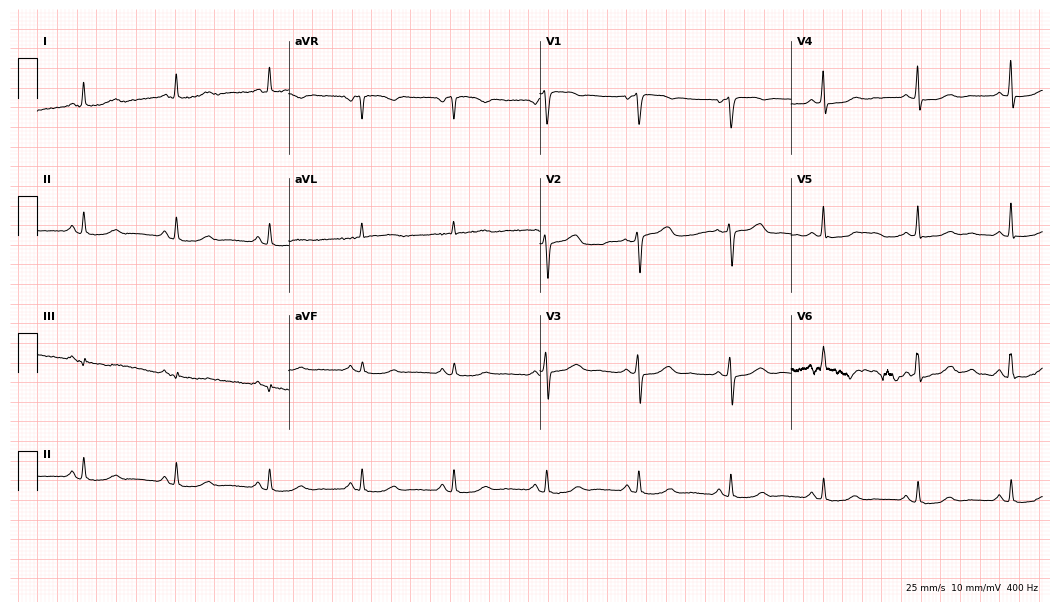
12-lead ECG (10.2-second recording at 400 Hz) from a female patient, 56 years old. Screened for six findings — first-degree AV block, right bundle branch block, left bundle branch block, sinus bradycardia, atrial fibrillation, sinus tachycardia — none is recorded.